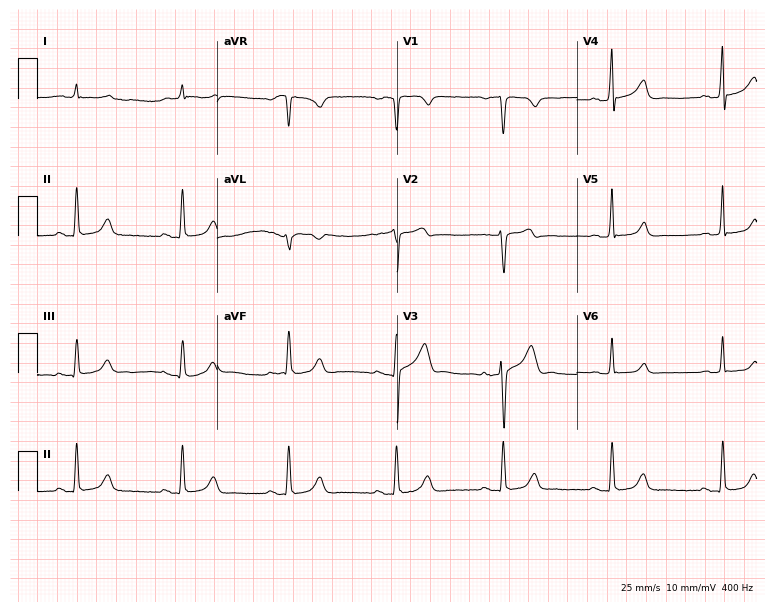
12-lead ECG from a 67-year-old man (7.3-second recording at 400 Hz). No first-degree AV block, right bundle branch block (RBBB), left bundle branch block (LBBB), sinus bradycardia, atrial fibrillation (AF) or sinus tachycardia recorded for this tracing.